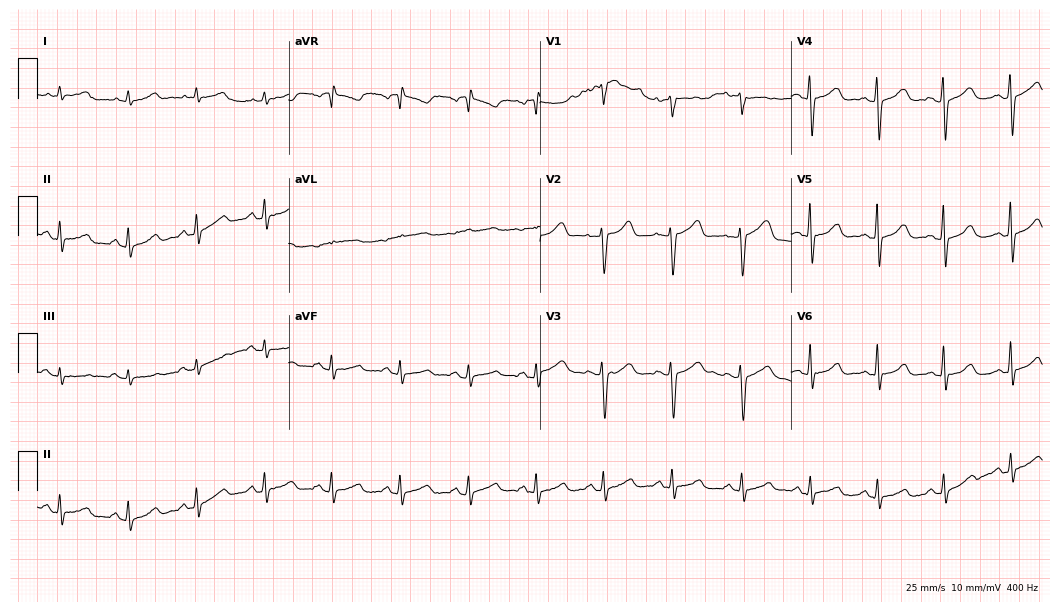
12-lead ECG from a 51-year-old female. Labelled as a normal ECG.